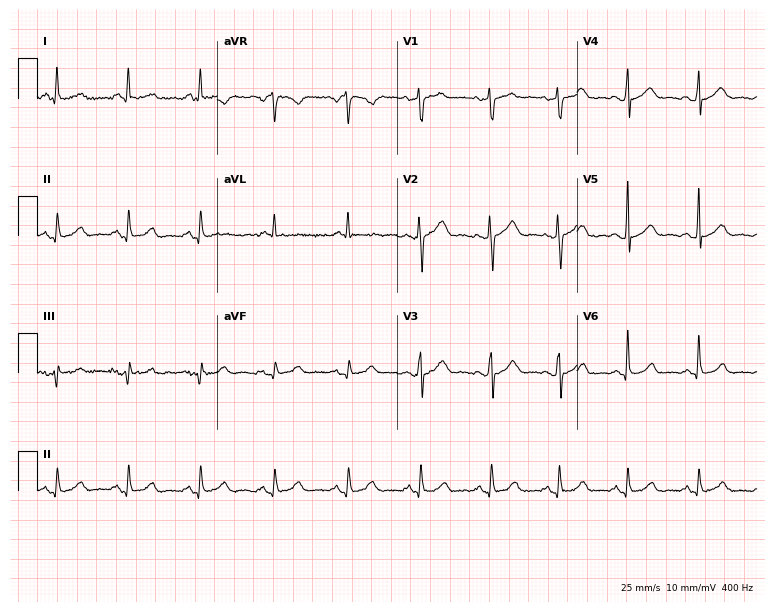
12-lead ECG from a male, 59 years old. Screened for six findings — first-degree AV block, right bundle branch block, left bundle branch block, sinus bradycardia, atrial fibrillation, sinus tachycardia — none is recorded. Other findings, if any, are not listed.